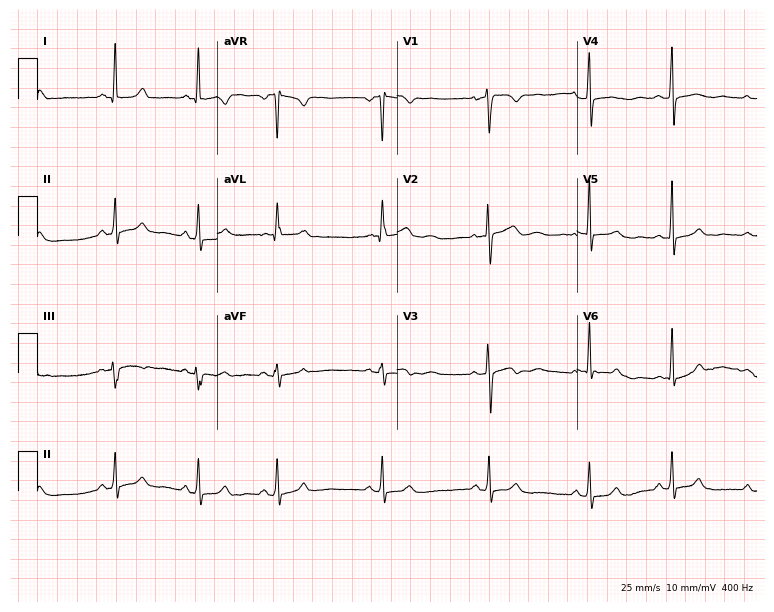
Standard 12-lead ECG recorded from a female, 27 years old (7.3-second recording at 400 Hz). Read as a normal ECG.